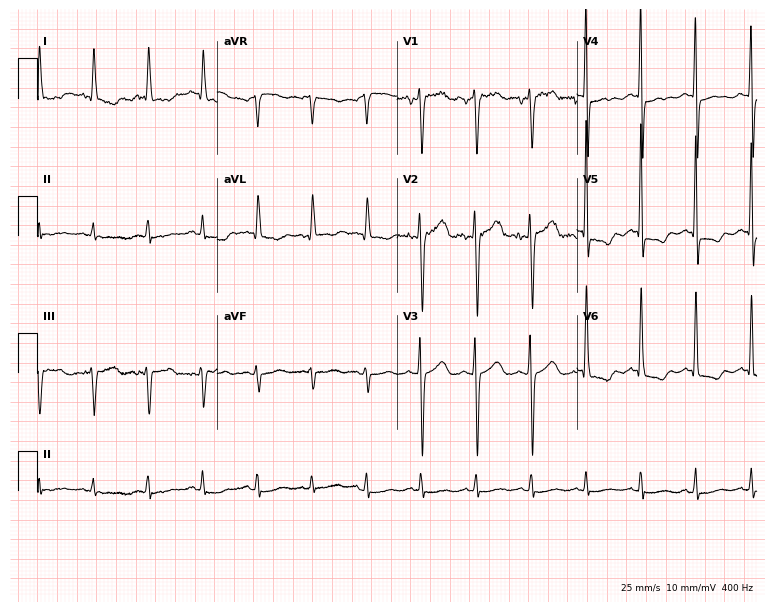
Resting 12-lead electrocardiogram (7.3-second recording at 400 Hz). Patient: an 84-year-old male. The tracing shows sinus tachycardia (a sinus rate of 100 beats per minute or more).